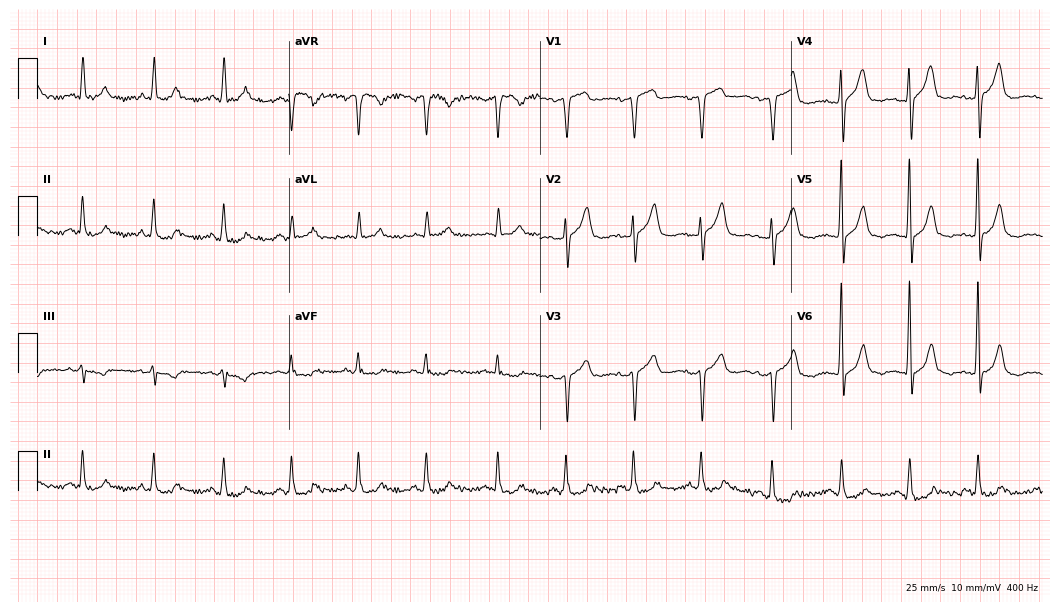
Resting 12-lead electrocardiogram (10.2-second recording at 400 Hz). Patient: a man, 60 years old. Read as a normal ECG.